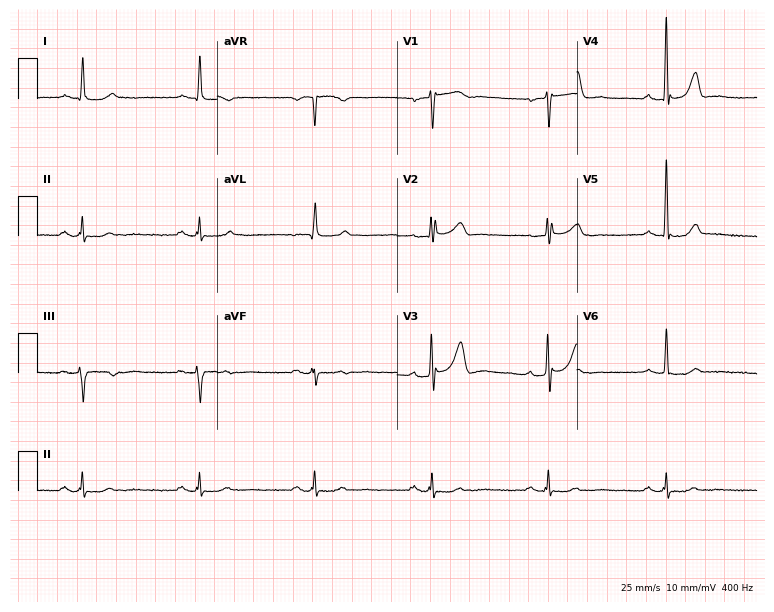
Electrocardiogram (7.3-second recording at 400 Hz), a 67-year-old male. Of the six screened findings (first-degree AV block, right bundle branch block, left bundle branch block, sinus bradycardia, atrial fibrillation, sinus tachycardia), none is recorded. Only these six findings were labelled.